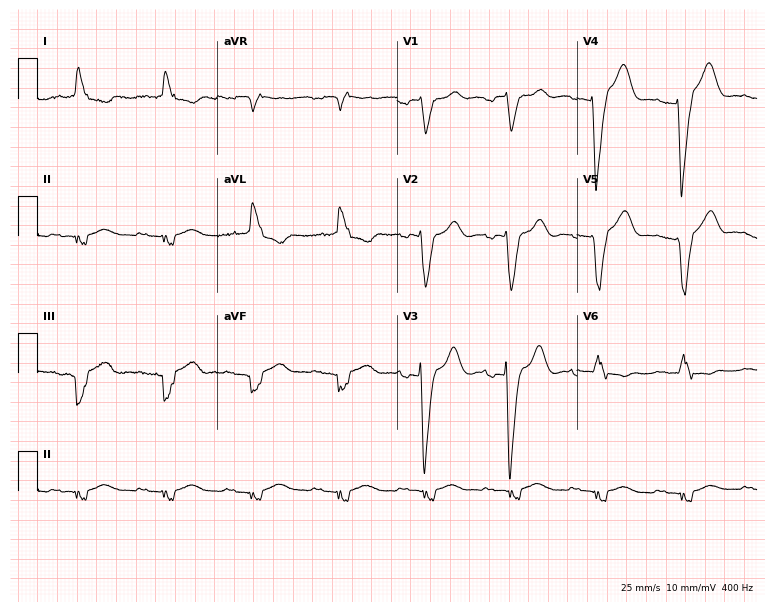
Resting 12-lead electrocardiogram (7.3-second recording at 400 Hz). Patient: a 70-year-old female. The tracing shows left bundle branch block.